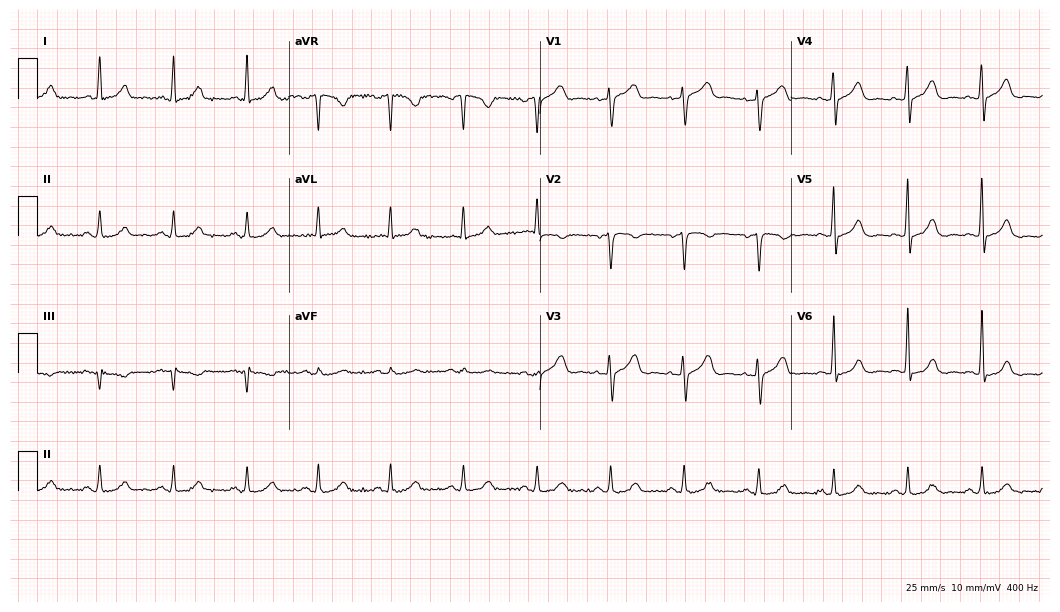
12-lead ECG from a 55-year-old female. Labelled as a normal ECG.